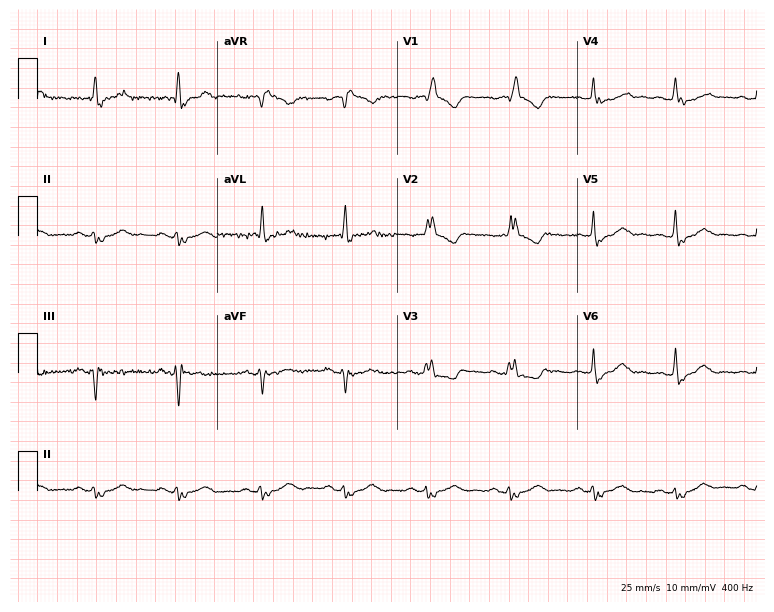
Standard 12-lead ECG recorded from an 84-year-old male patient (7.3-second recording at 400 Hz). None of these six findings is recorded: first-degree AV block, right bundle branch block (RBBB), left bundle branch block (LBBB), sinus bradycardia, atrial fibrillation (AF), sinus tachycardia.